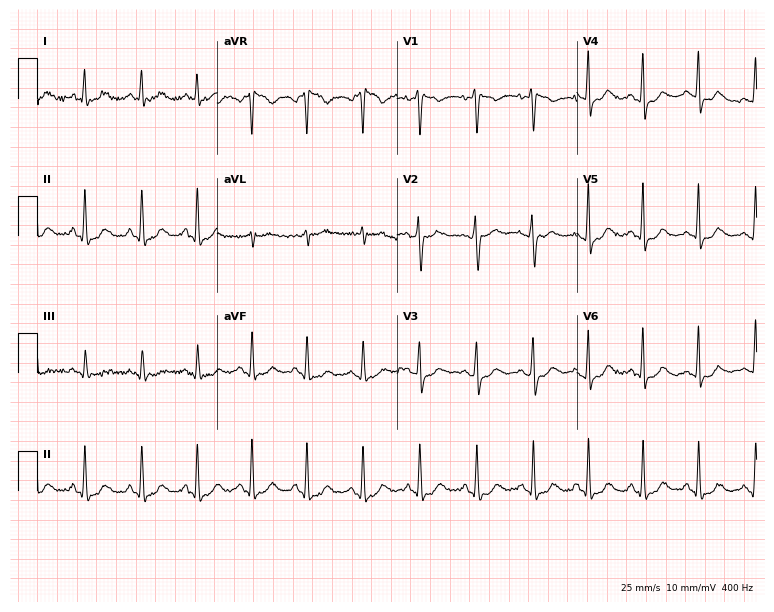
Resting 12-lead electrocardiogram (7.3-second recording at 400 Hz). Patient: a 42-year-old female. None of these six findings is recorded: first-degree AV block, right bundle branch block, left bundle branch block, sinus bradycardia, atrial fibrillation, sinus tachycardia.